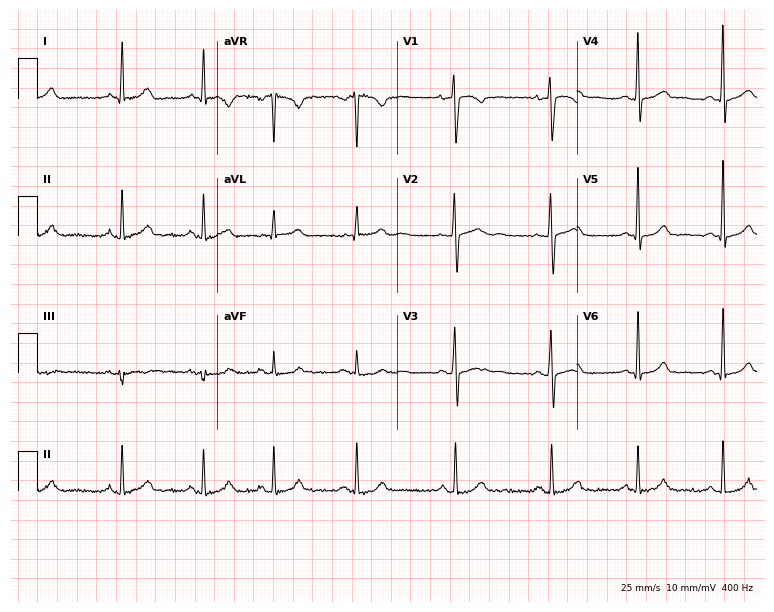
Resting 12-lead electrocardiogram (7.3-second recording at 400 Hz). Patient: a 29-year-old woman. None of these six findings is recorded: first-degree AV block, right bundle branch block, left bundle branch block, sinus bradycardia, atrial fibrillation, sinus tachycardia.